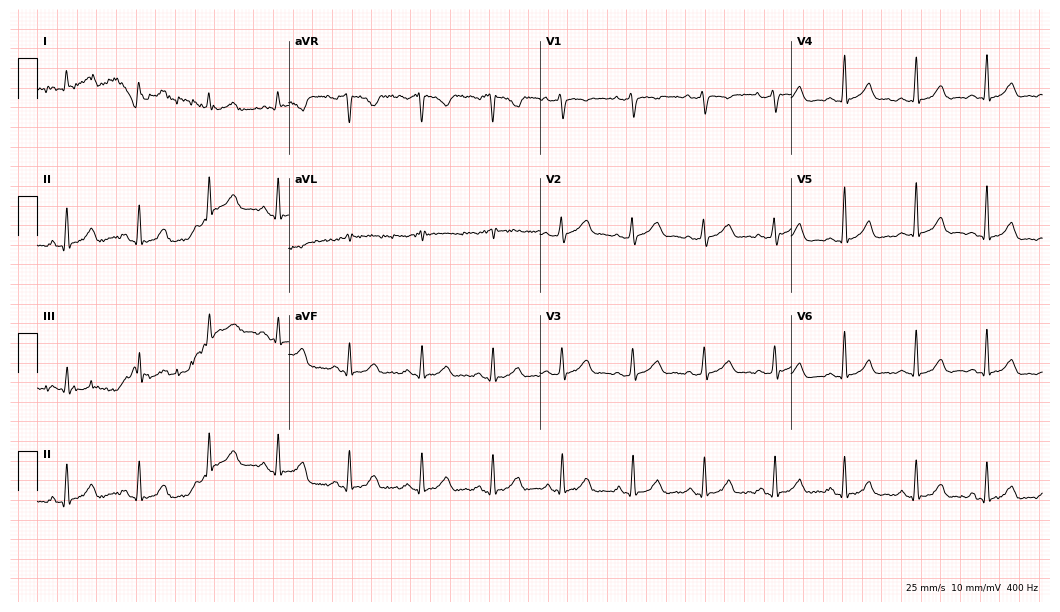
12-lead ECG (10.2-second recording at 400 Hz) from a woman, 35 years old. Labelled as a normal ECG.